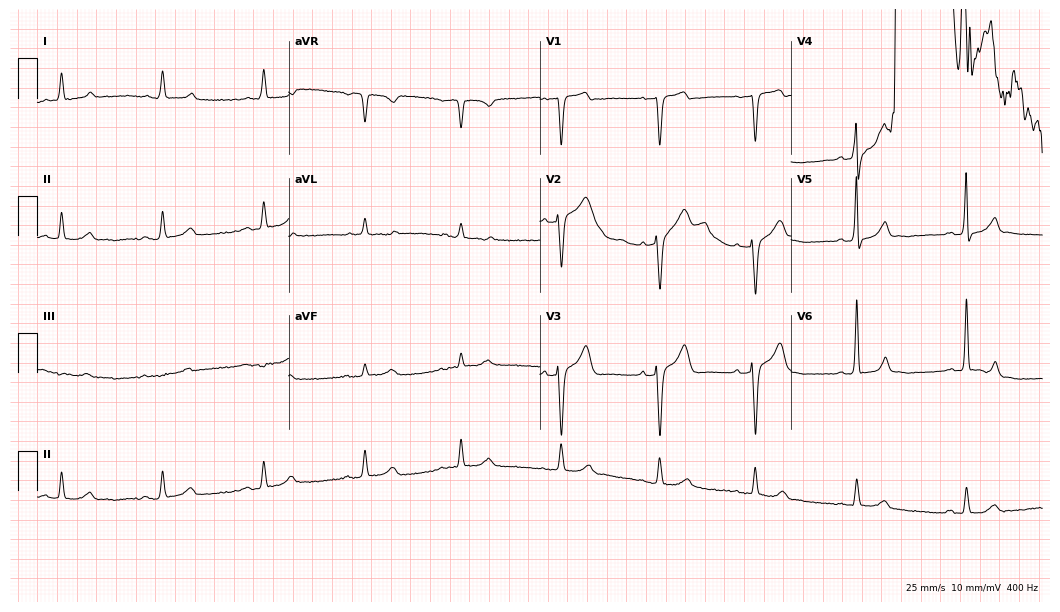
ECG — an 84-year-old man. Labelled as a normal ECG.